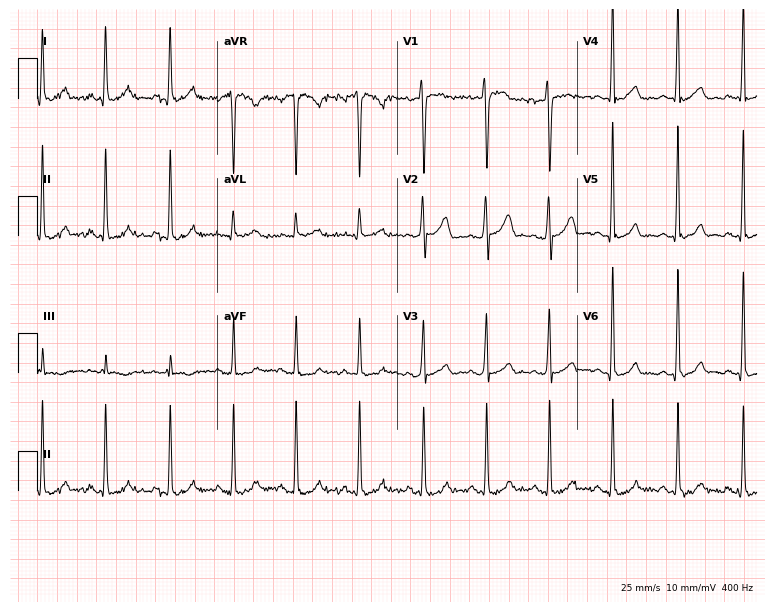
Resting 12-lead electrocardiogram. Patient: a female, 52 years old. Read as a normal ECG.